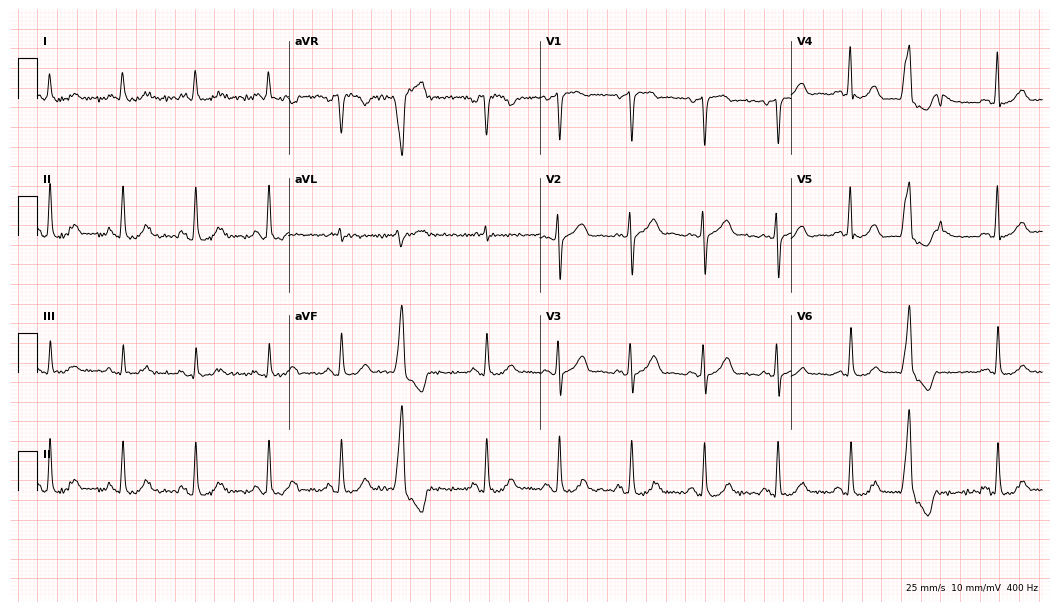
12-lead ECG from a male patient, 83 years old. Screened for six findings — first-degree AV block, right bundle branch block, left bundle branch block, sinus bradycardia, atrial fibrillation, sinus tachycardia — none is recorded.